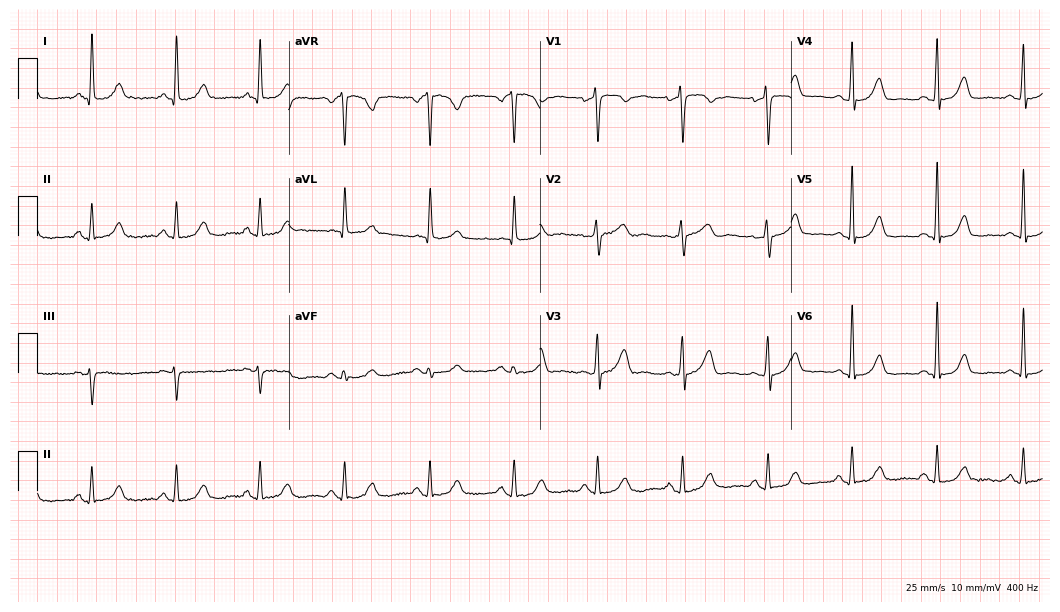
12-lead ECG from a woman, 72 years old (10.2-second recording at 400 Hz). No first-degree AV block, right bundle branch block, left bundle branch block, sinus bradycardia, atrial fibrillation or sinus tachycardia recorded for this tracing.